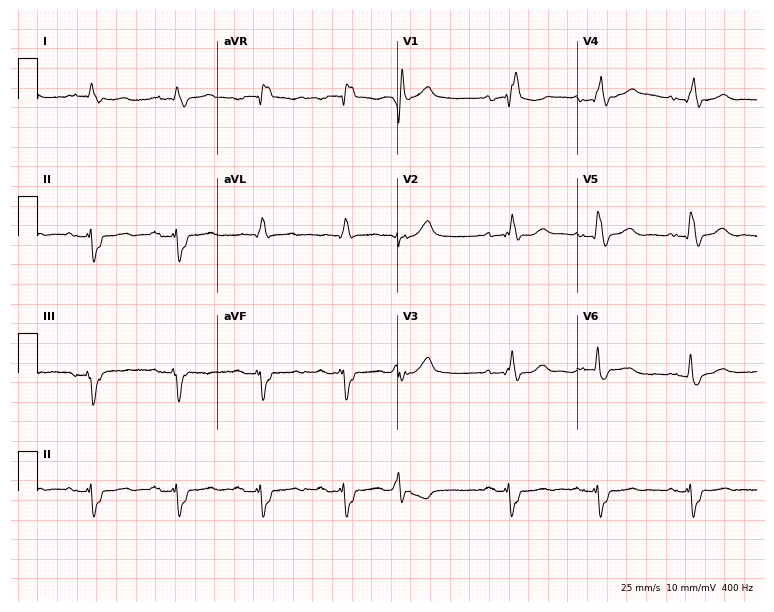
Resting 12-lead electrocardiogram. Patient: a 74-year-old male. None of these six findings is recorded: first-degree AV block, right bundle branch block (RBBB), left bundle branch block (LBBB), sinus bradycardia, atrial fibrillation (AF), sinus tachycardia. Only these six findings were labelled.